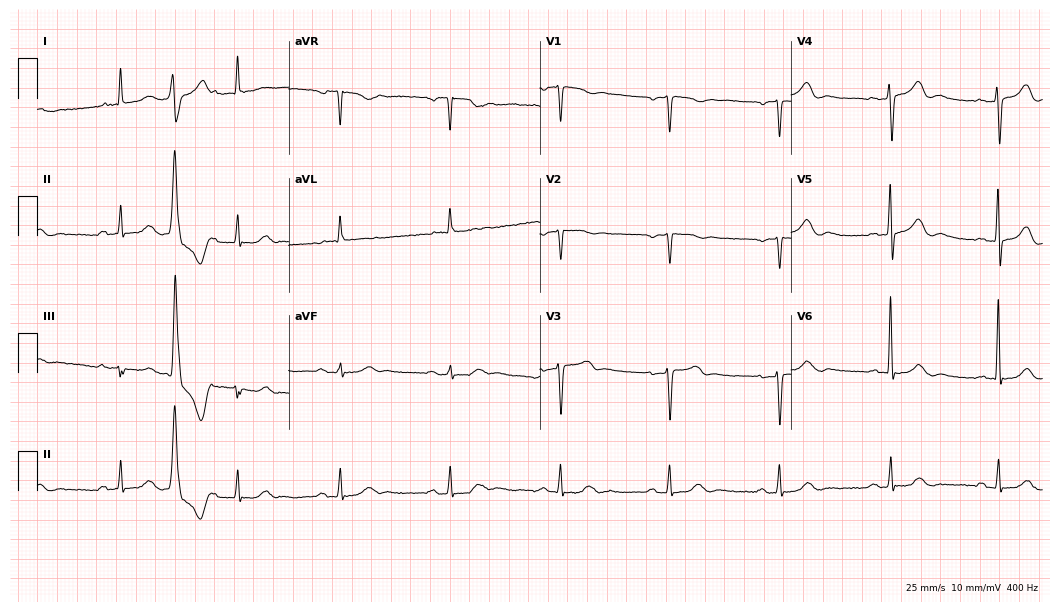
12-lead ECG from a man, 75 years old. Labelled as a normal ECG.